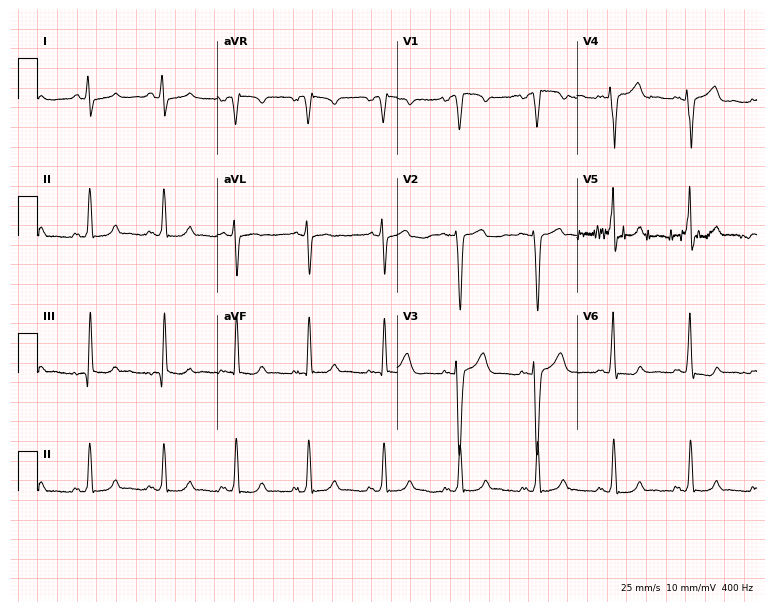
Standard 12-lead ECG recorded from a 33-year-old female. Read as a normal ECG.